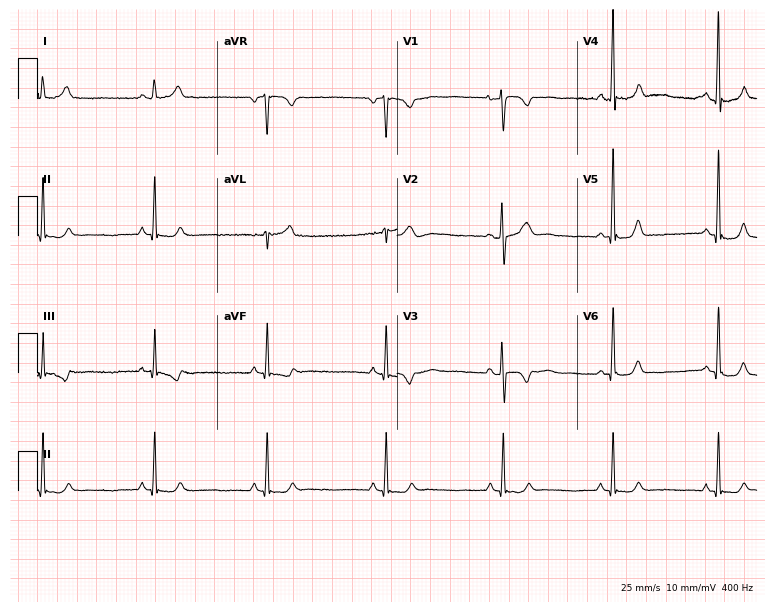
Standard 12-lead ECG recorded from a female patient, 29 years old (7.3-second recording at 400 Hz). Read as a normal ECG.